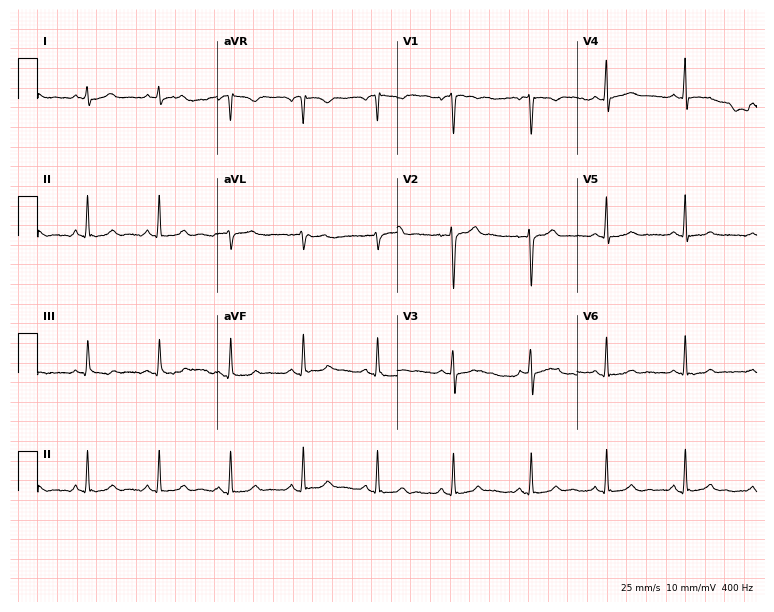
ECG — a 28-year-old male patient. Screened for six findings — first-degree AV block, right bundle branch block, left bundle branch block, sinus bradycardia, atrial fibrillation, sinus tachycardia — none is recorded.